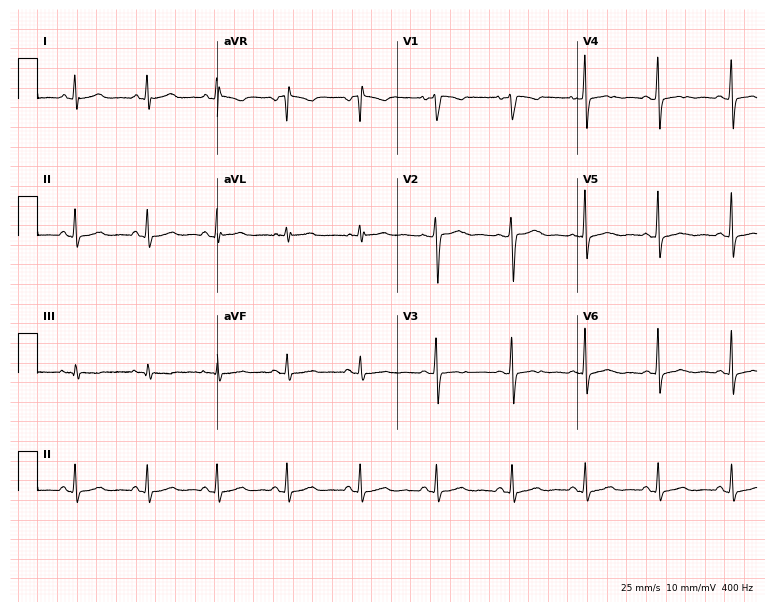
ECG — a woman, 38 years old. Screened for six findings — first-degree AV block, right bundle branch block (RBBB), left bundle branch block (LBBB), sinus bradycardia, atrial fibrillation (AF), sinus tachycardia — none is recorded.